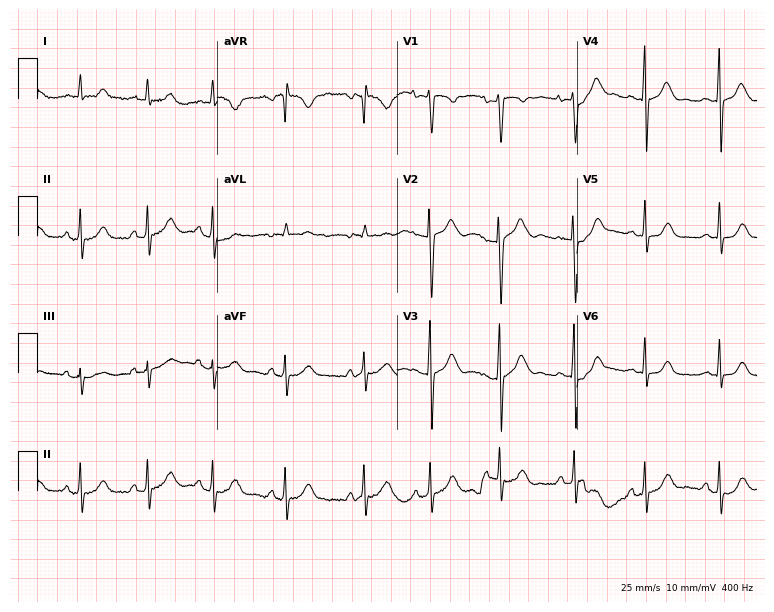
Electrocardiogram, a woman, 17 years old. Overall reading on record: normal ECG.